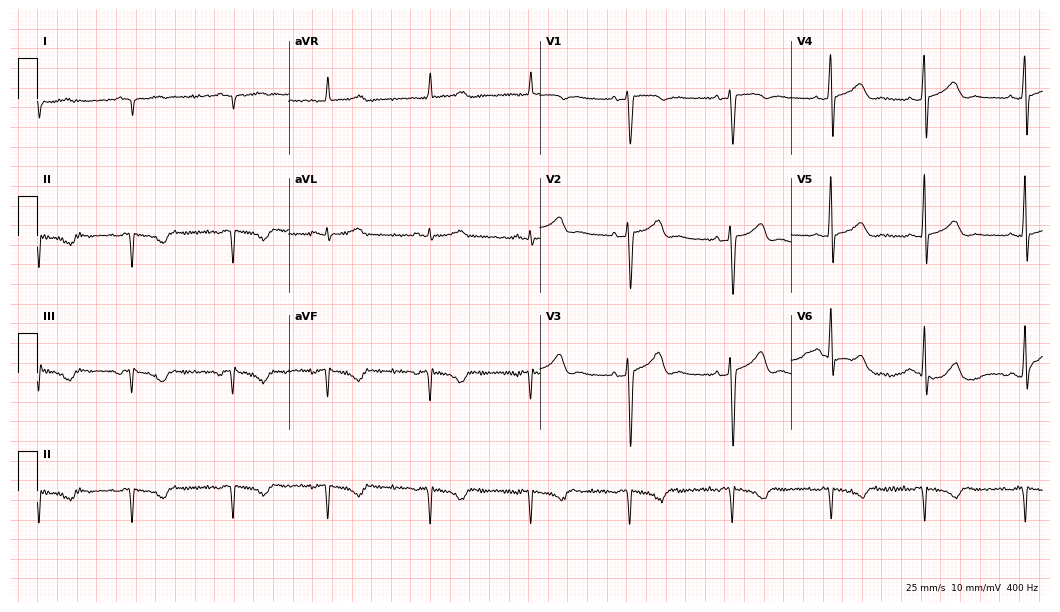
12-lead ECG (10.2-second recording at 400 Hz) from a woman, 40 years old. Screened for six findings — first-degree AV block, right bundle branch block, left bundle branch block, sinus bradycardia, atrial fibrillation, sinus tachycardia — none is recorded.